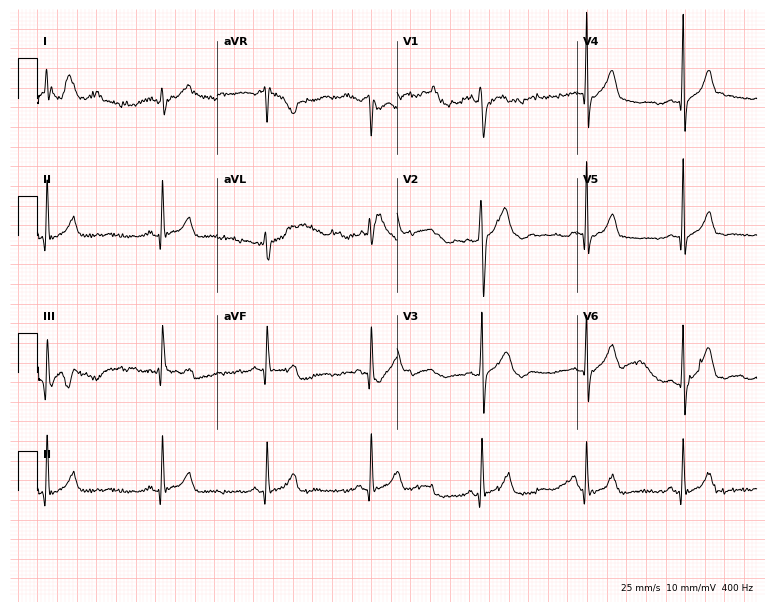
12-lead ECG from a 20-year-old male patient. Screened for six findings — first-degree AV block, right bundle branch block, left bundle branch block, sinus bradycardia, atrial fibrillation, sinus tachycardia — none is recorded. Other findings, if any, are not listed.